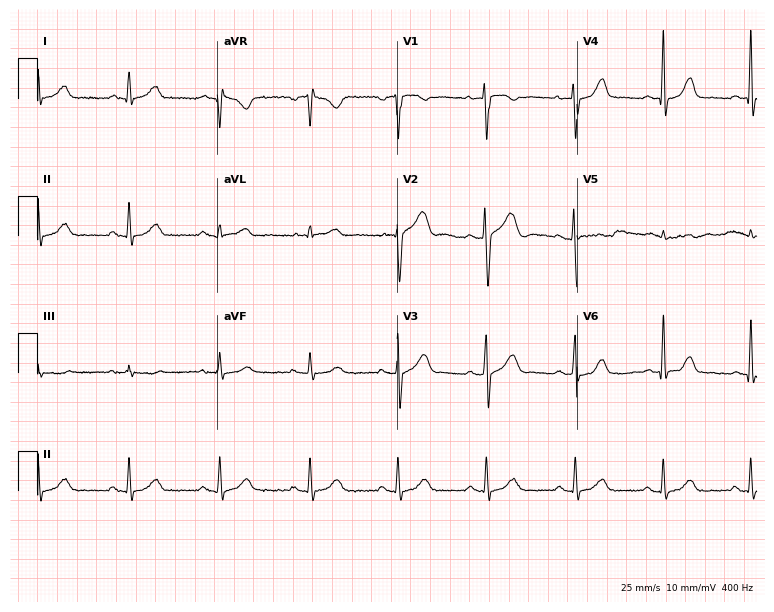
12-lead ECG from a male patient, 49 years old. Labelled as a normal ECG.